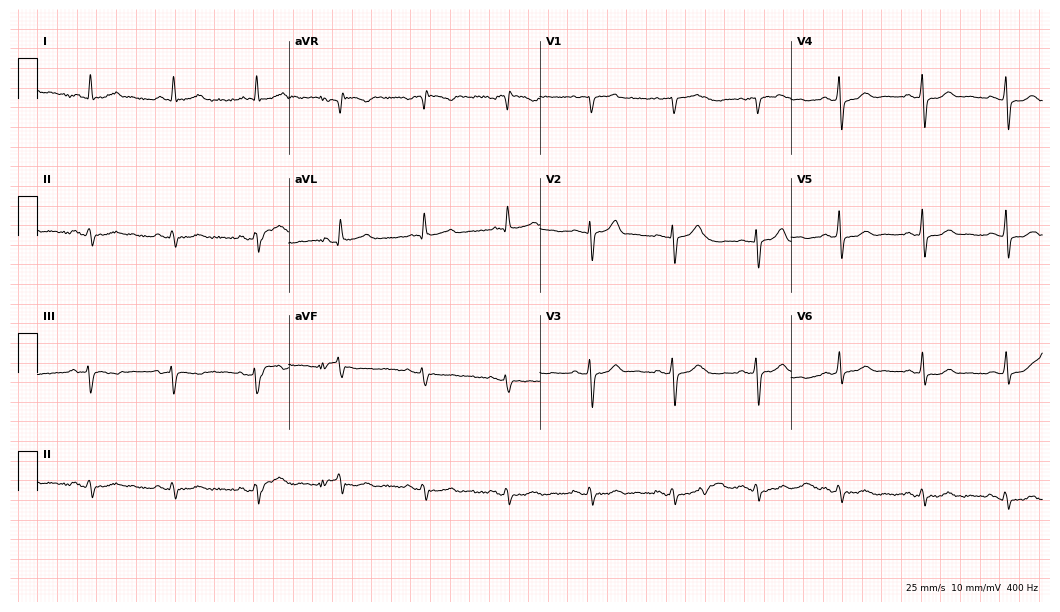
12-lead ECG from a male, 72 years old (10.2-second recording at 400 Hz). No first-degree AV block, right bundle branch block, left bundle branch block, sinus bradycardia, atrial fibrillation or sinus tachycardia recorded for this tracing. Only these six findings were labelled.